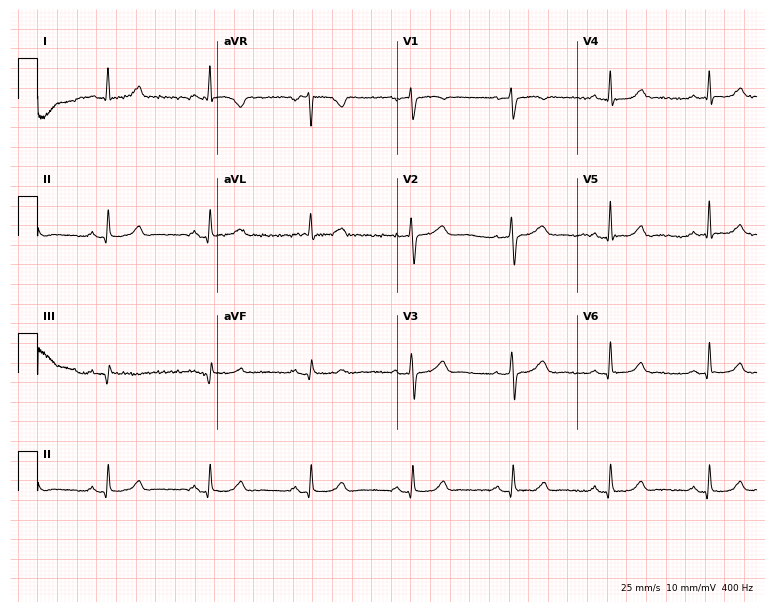
Standard 12-lead ECG recorded from a woman, 62 years old (7.3-second recording at 400 Hz). None of these six findings is recorded: first-degree AV block, right bundle branch block, left bundle branch block, sinus bradycardia, atrial fibrillation, sinus tachycardia. Only these six findings were labelled.